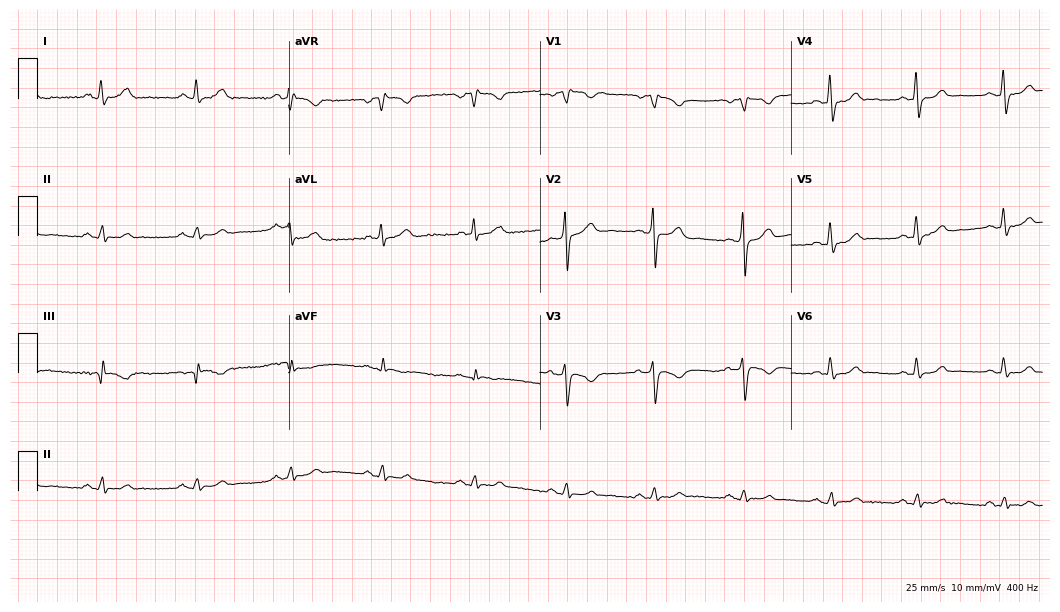
12-lead ECG from a 57-year-old male. Screened for six findings — first-degree AV block, right bundle branch block, left bundle branch block, sinus bradycardia, atrial fibrillation, sinus tachycardia — none is recorded.